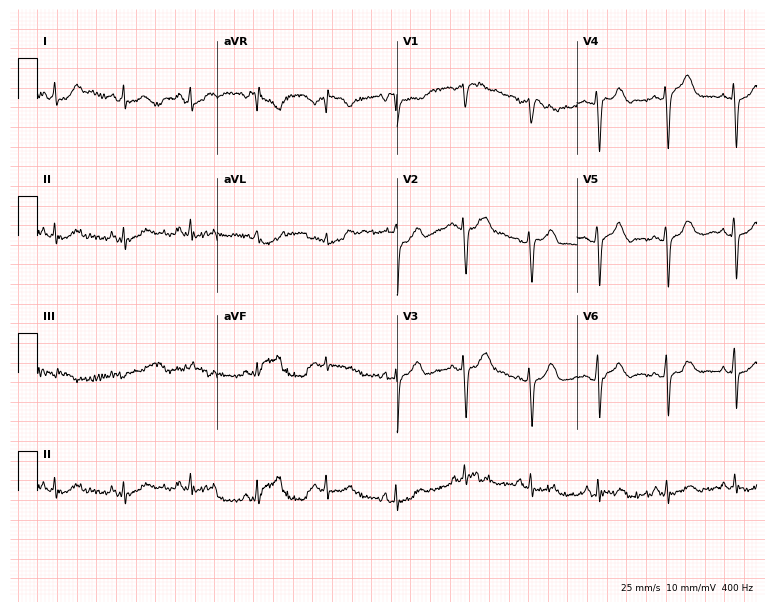
12-lead ECG from a 51-year-old female. No first-degree AV block, right bundle branch block, left bundle branch block, sinus bradycardia, atrial fibrillation or sinus tachycardia recorded for this tracing.